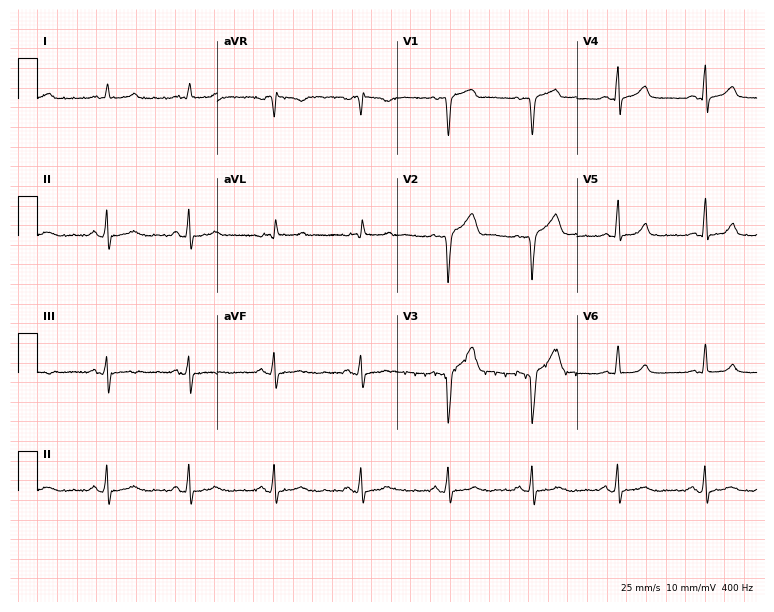
Electrocardiogram (7.3-second recording at 400 Hz), a 58-year-old male patient. Of the six screened findings (first-degree AV block, right bundle branch block (RBBB), left bundle branch block (LBBB), sinus bradycardia, atrial fibrillation (AF), sinus tachycardia), none is recorded.